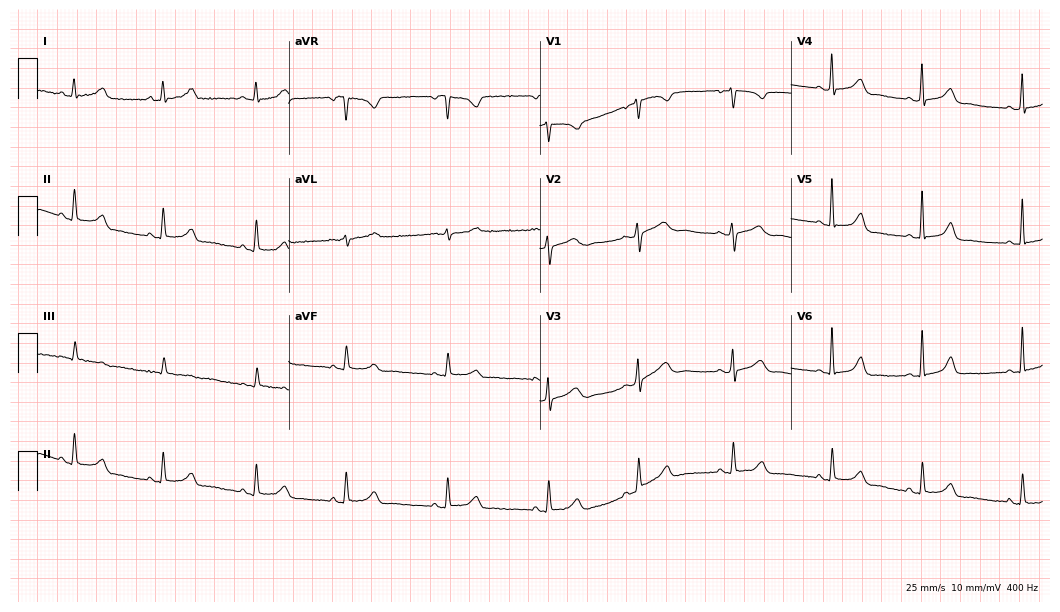
Standard 12-lead ECG recorded from a 32-year-old female. Read as a normal ECG.